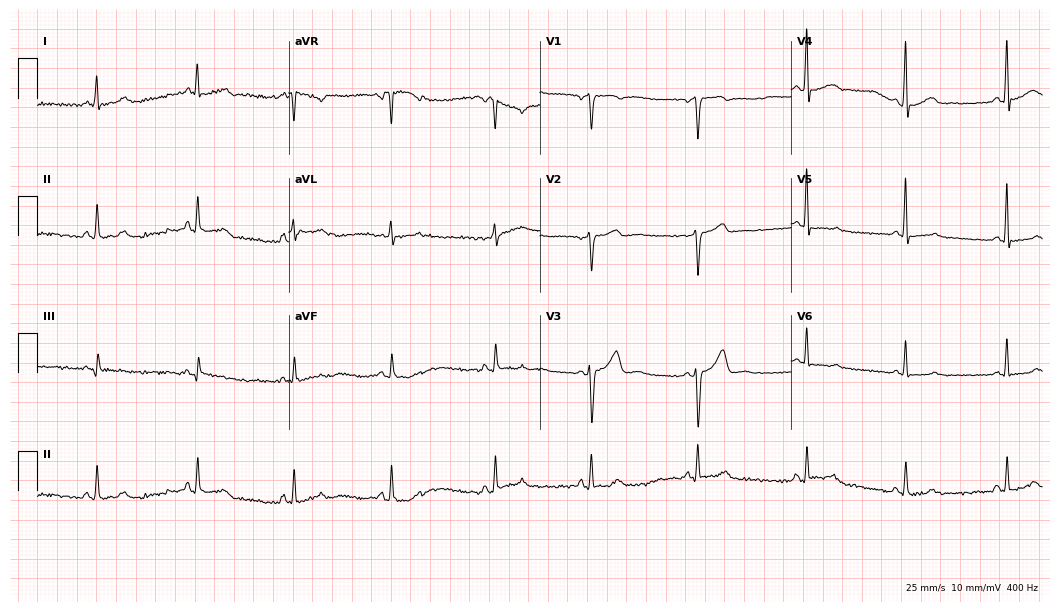
Electrocardiogram (10.2-second recording at 400 Hz), a man, 53 years old. Overall reading on record: normal ECG.